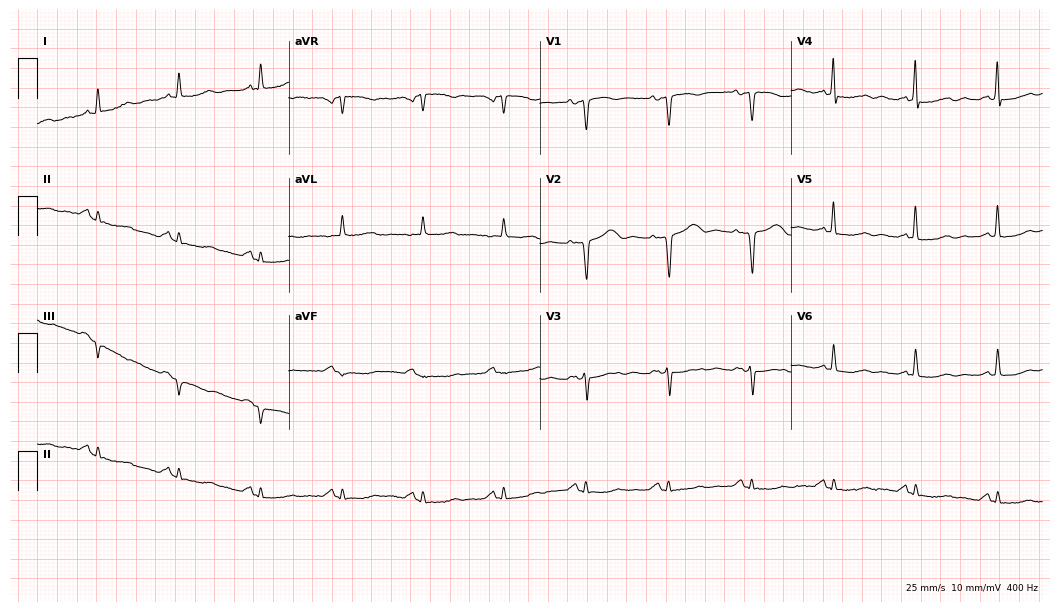
12-lead ECG from a female, 76 years old. No first-degree AV block, right bundle branch block (RBBB), left bundle branch block (LBBB), sinus bradycardia, atrial fibrillation (AF) or sinus tachycardia recorded for this tracing.